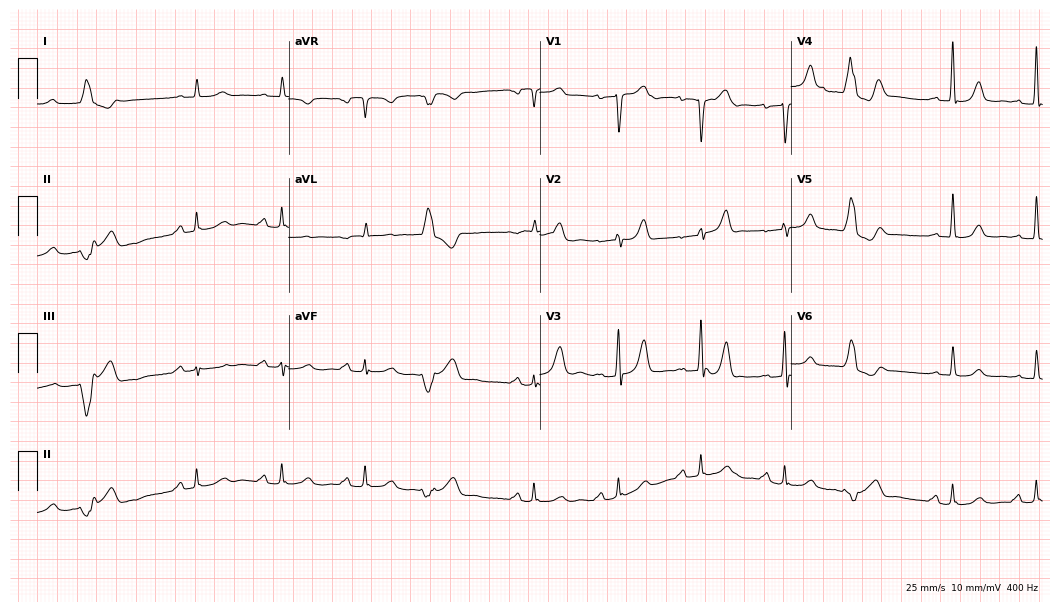
Standard 12-lead ECG recorded from an 83-year-old male. None of these six findings is recorded: first-degree AV block, right bundle branch block (RBBB), left bundle branch block (LBBB), sinus bradycardia, atrial fibrillation (AF), sinus tachycardia. Only these six findings were labelled.